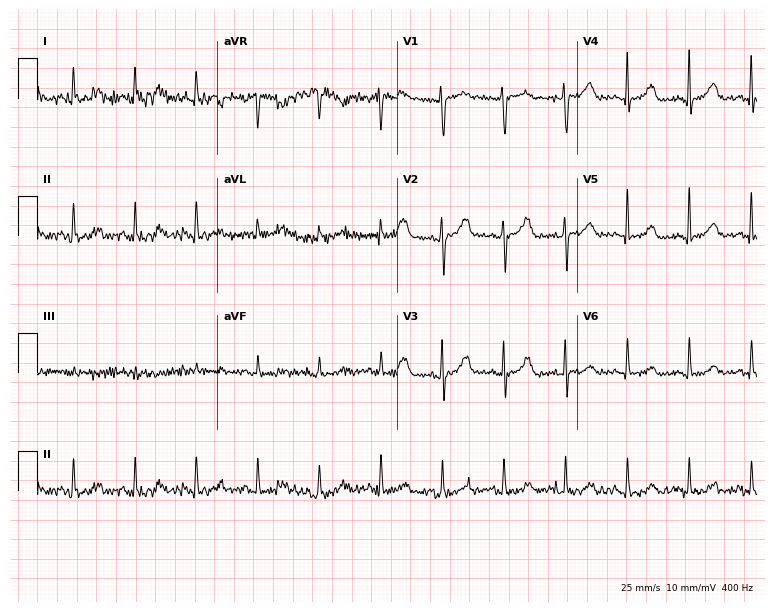
Electrocardiogram, a 64-year-old female patient. Of the six screened findings (first-degree AV block, right bundle branch block, left bundle branch block, sinus bradycardia, atrial fibrillation, sinus tachycardia), none is recorded. Findings outside these six are not listed.